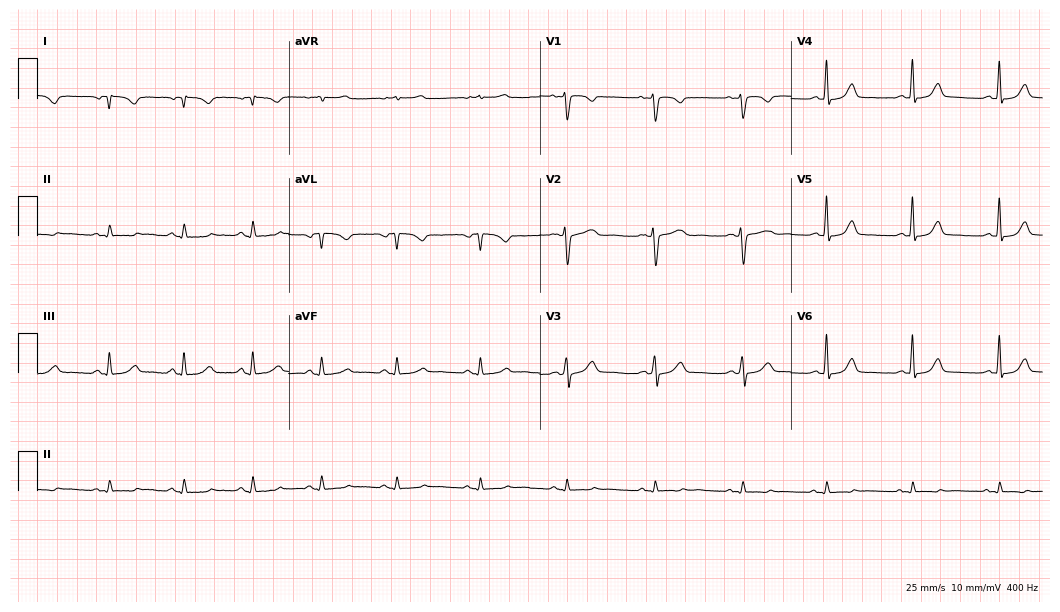
12-lead ECG from a 43-year-old woman. No first-degree AV block, right bundle branch block (RBBB), left bundle branch block (LBBB), sinus bradycardia, atrial fibrillation (AF) or sinus tachycardia recorded for this tracing. Only these six findings were labelled.